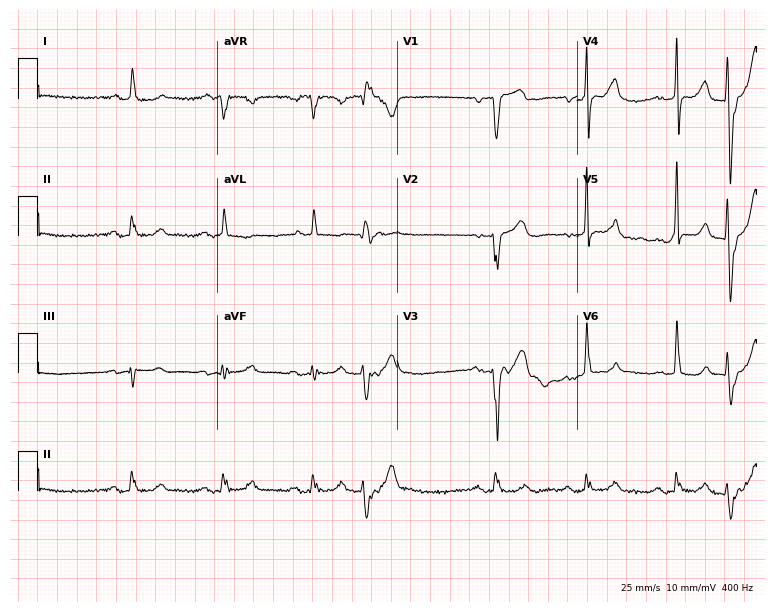
Resting 12-lead electrocardiogram (7.3-second recording at 400 Hz). Patient: a male, 66 years old. Read as a normal ECG.